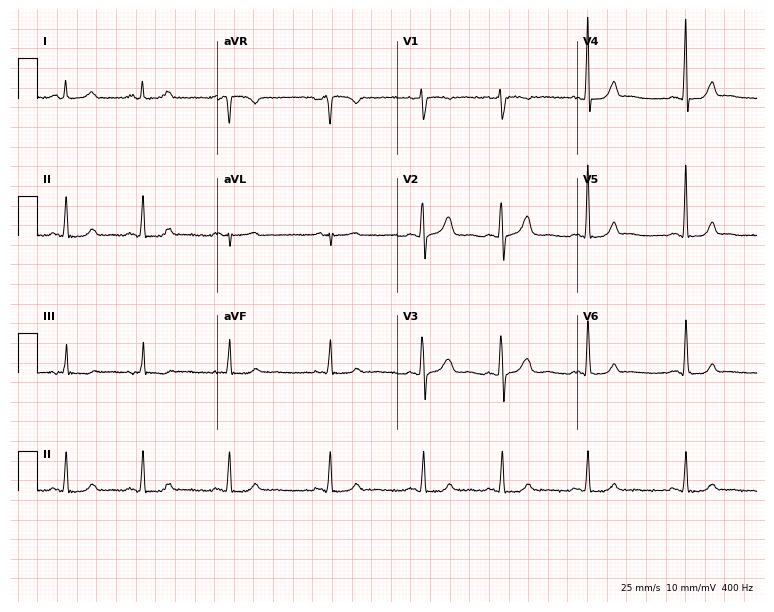
ECG — a woman, 26 years old. Labelled as a normal ECG.